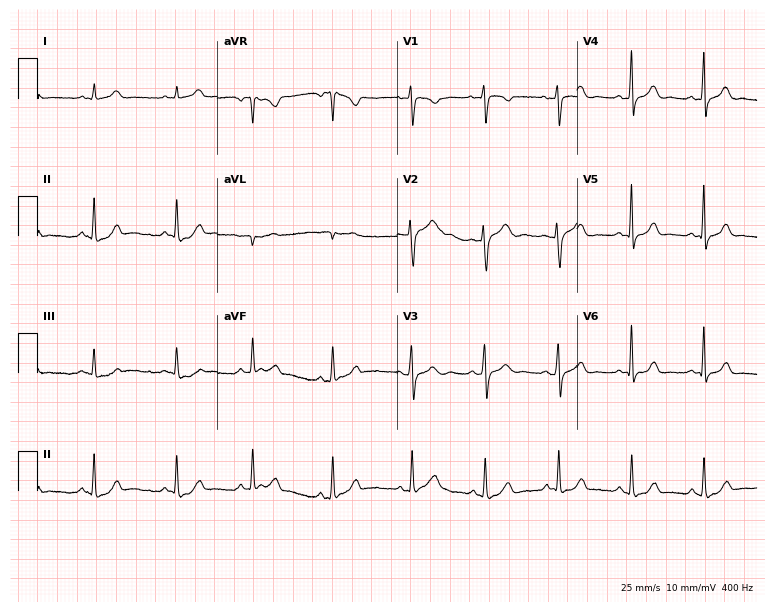
12-lead ECG (7.3-second recording at 400 Hz) from a 19-year-old female patient. Labelled as a normal ECG.